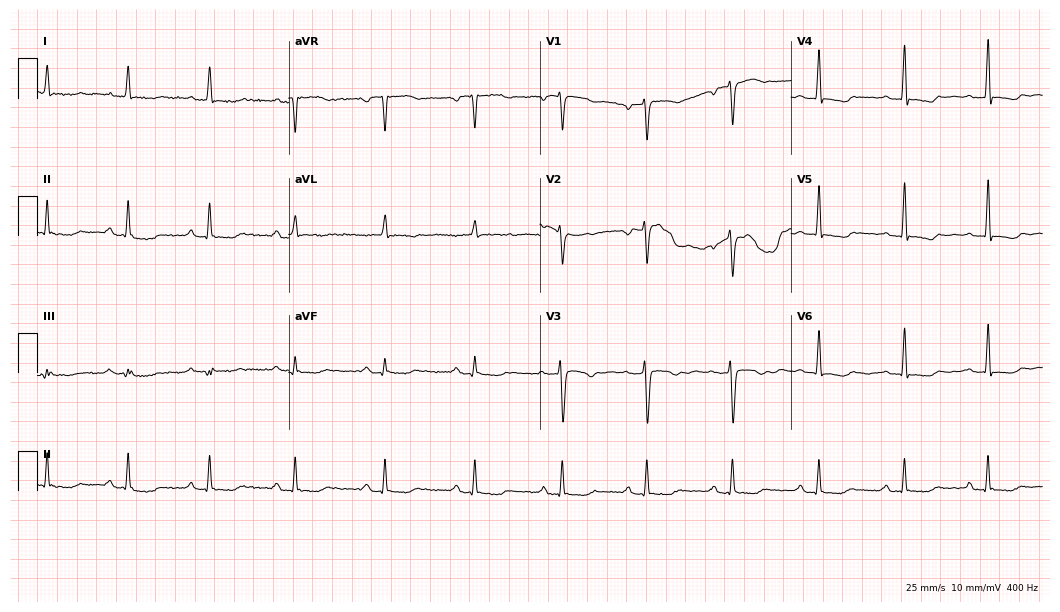
ECG — a 51-year-old female. Screened for six findings — first-degree AV block, right bundle branch block (RBBB), left bundle branch block (LBBB), sinus bradycardia, atrial fibrillation (AF), sinus tachycardia — none is recorded.